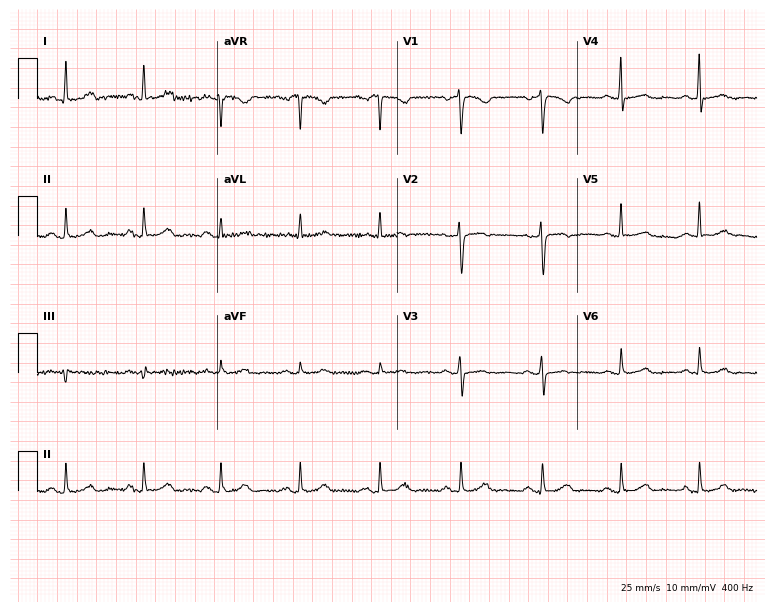
12-lead ECG (7.3-second recording at 400 Hz) from a female, 51 years old. Labelled as a normal ECG.